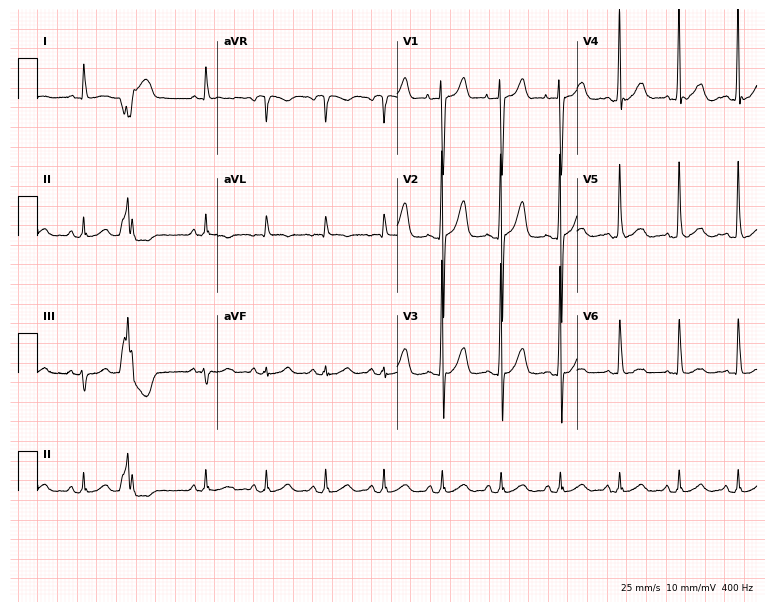
Electrocardiogram (7.3-second recording at 400 Hz), a man, 72 years old. Overall reading on record: normal ECG.